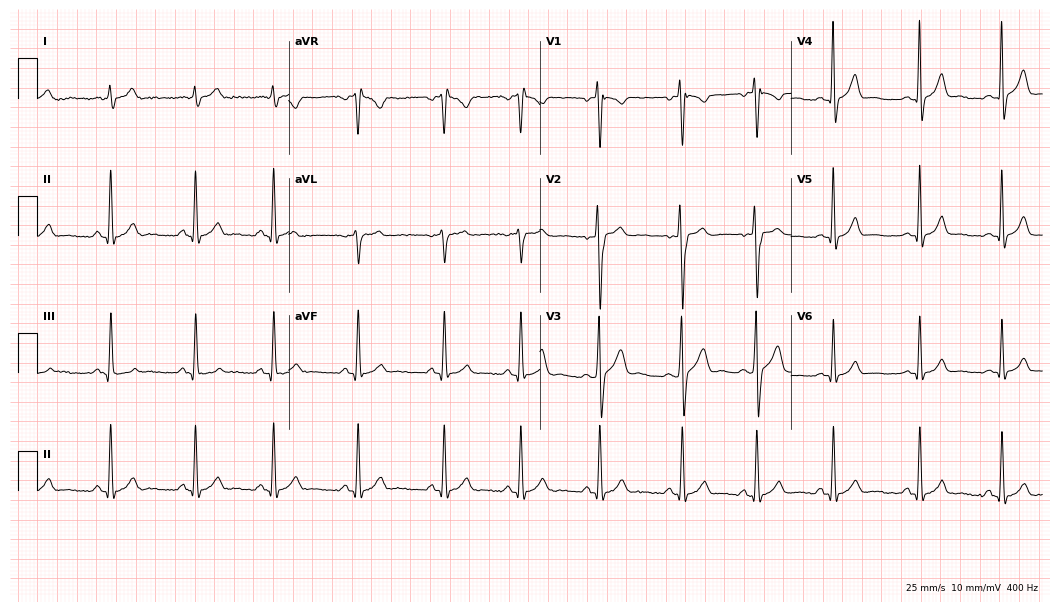
Standard 12-lead ECG recorded from a male patient, 17 years old. Read as a normal ECG.